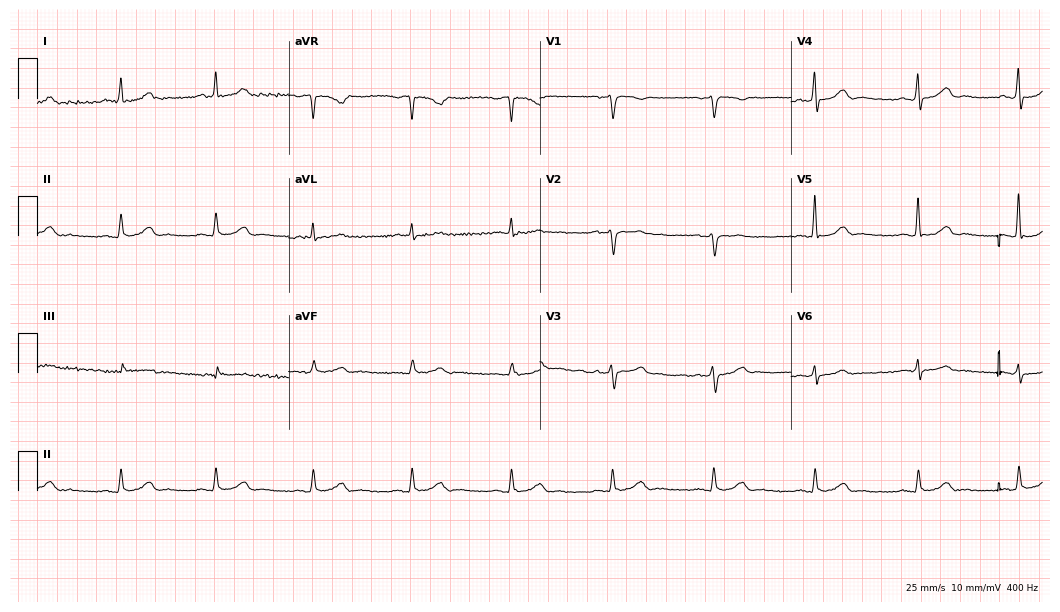
12-lead ECG from a man, 61 years old (10.2-second recording at 400 Hz). Recorded interpretation: within normal limits.